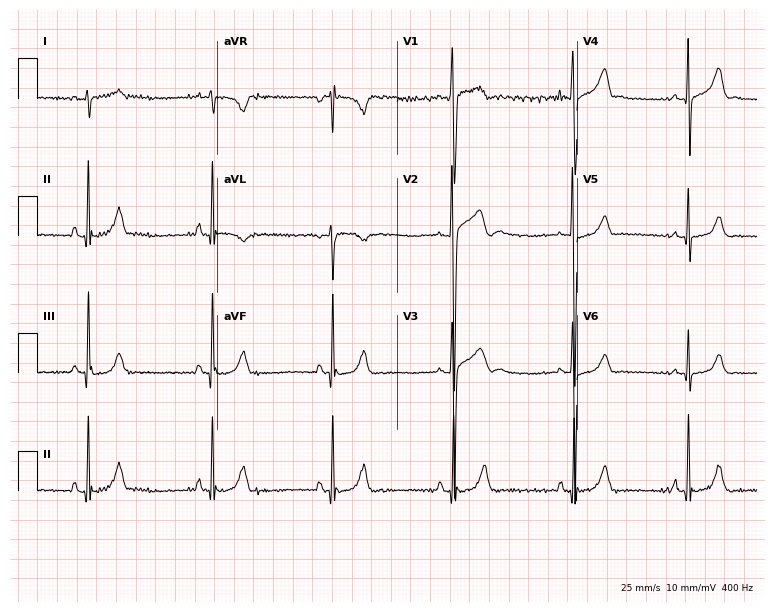
Resting 12-lead electrocardiogram. Patient: a 19-year-old male. None of these six findings is recorded: first-degree AV block, right bundle branch block, left bundle branch block, sinus bradycardia, atrial fibrillation, sinus tachycardia.